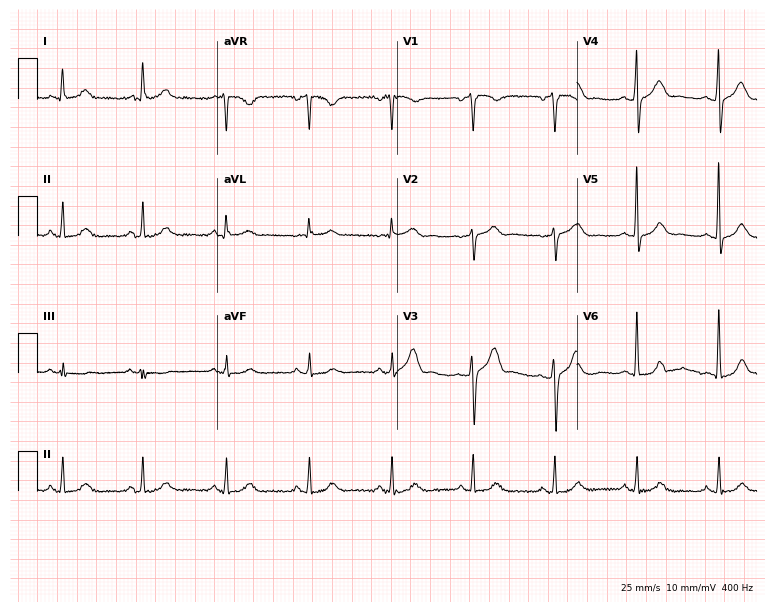
12-lead ECG from a man, 60 years old (7.3-second recording at 400 Hz). Recorded interpretation: within normal limits.